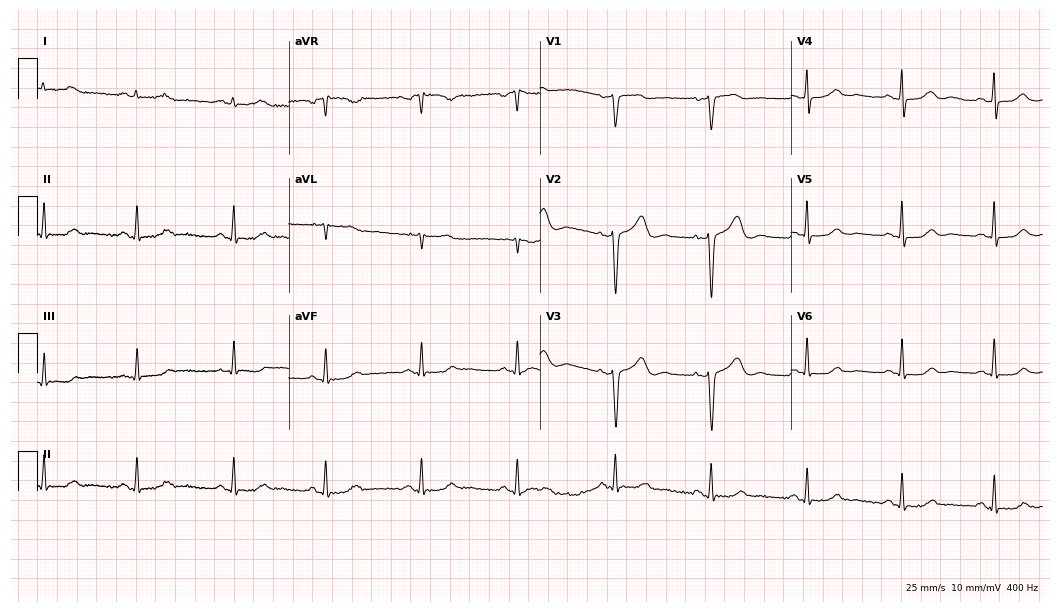
Resting 12-lead electrocardiogram. Patient: a female, 41 years old. Read as a normal ECG.